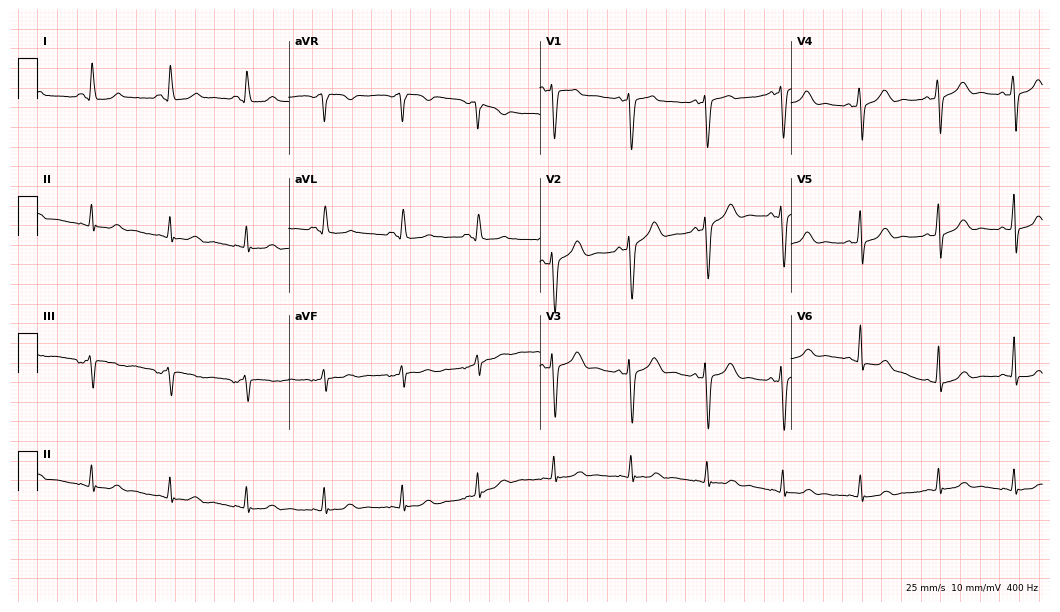
ECG — a female patient, 50 years old. Labelled as a normal ECG.